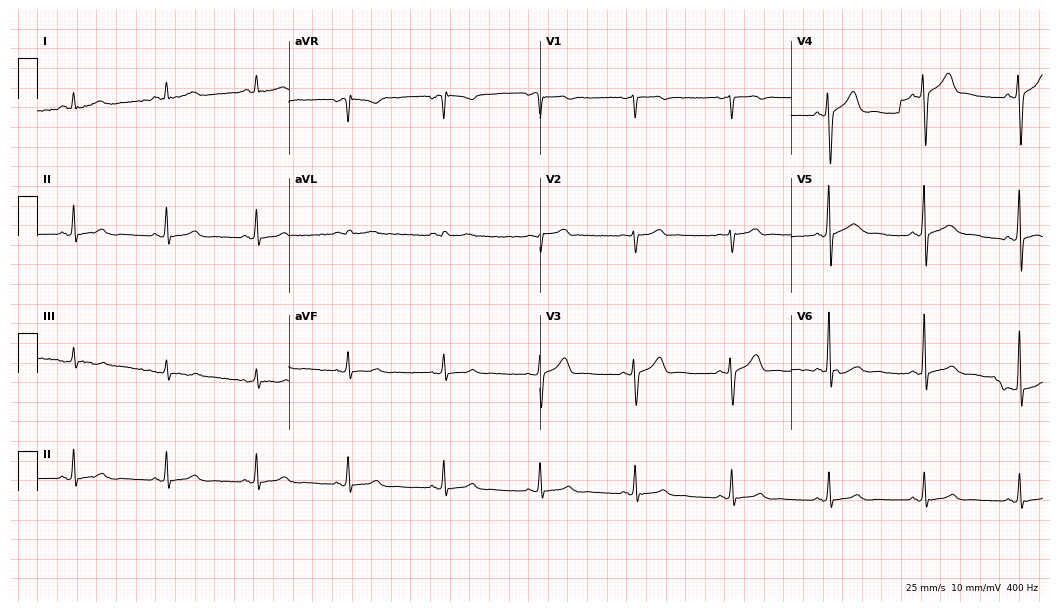
12-lead ECG (10.2-second recording at 400 Hz) from a 54-year-old male. Labelled as a normal ECG.